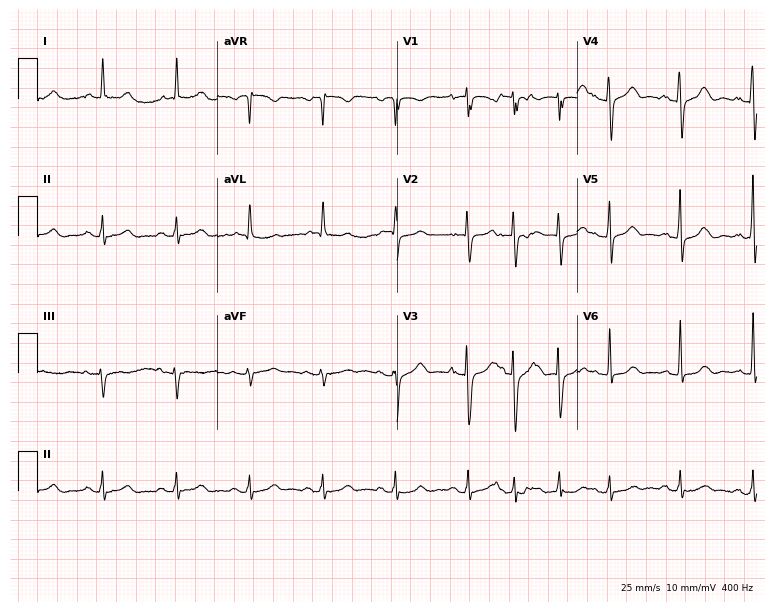
ECG — a female patient, 83 years old. Labelled as a normal ECG.